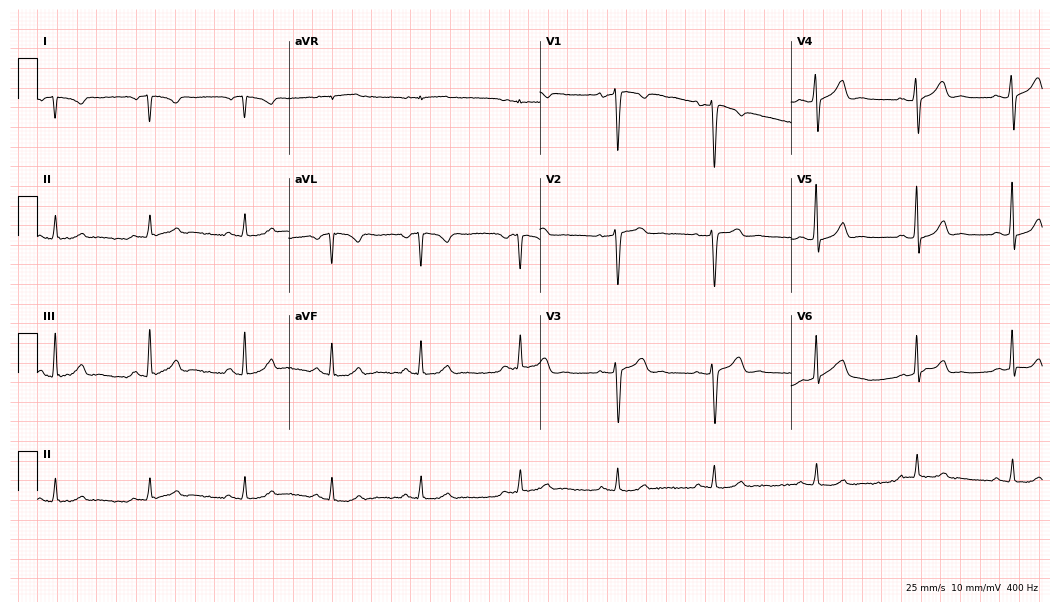
Standard 12-lead ECG recorded from a woman, 24 years old. None of these six findings is recorded: first-degree AV block, right bundle branch block (RBBB), left bundle branch block (LBBB), sinus bradycardia, atrial fibrillation (AF), sinus tachycardia. Other findings, if any, are not listed.